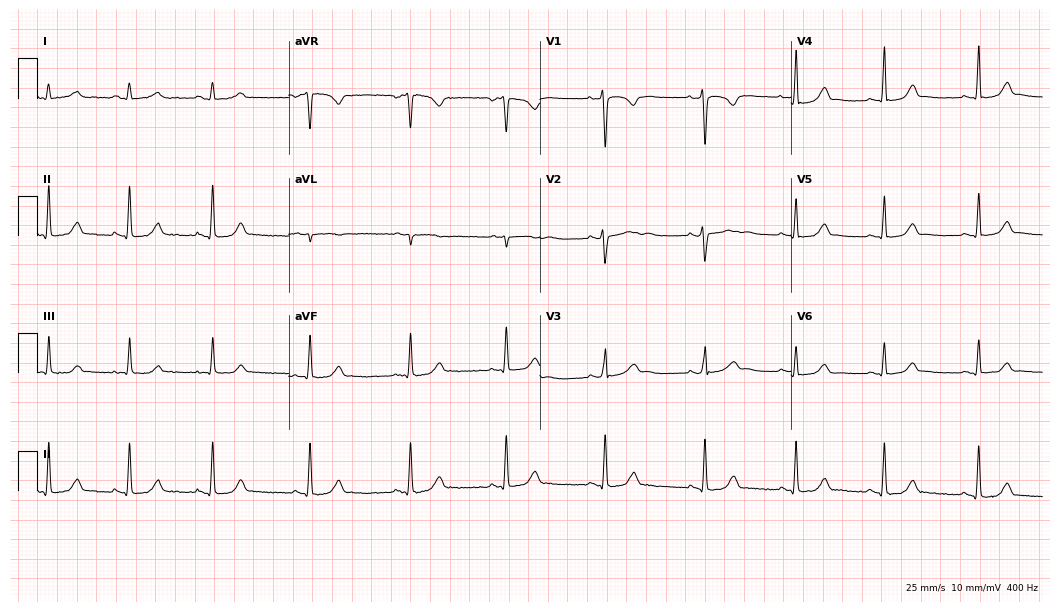
Resting 12-lead electrocardiogram (10.2-second recording at 400 Hz). Patient: a woman, 27 years old. None of these six findings is recorded: first-degree AV block, right bundle branch block (RBBB), left bundle branch block (LBBB), sinus bradycardia, atrial fibrillation (AF), sinus tachycardia.